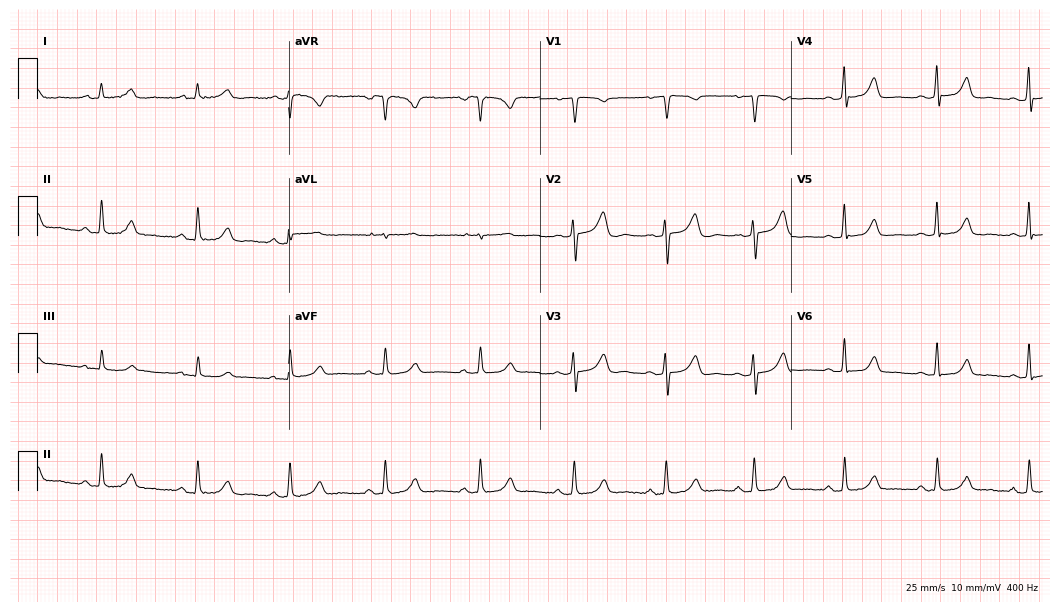
12-lead ECG from a 45-year-old female patient. Labelled as a normal ECG.